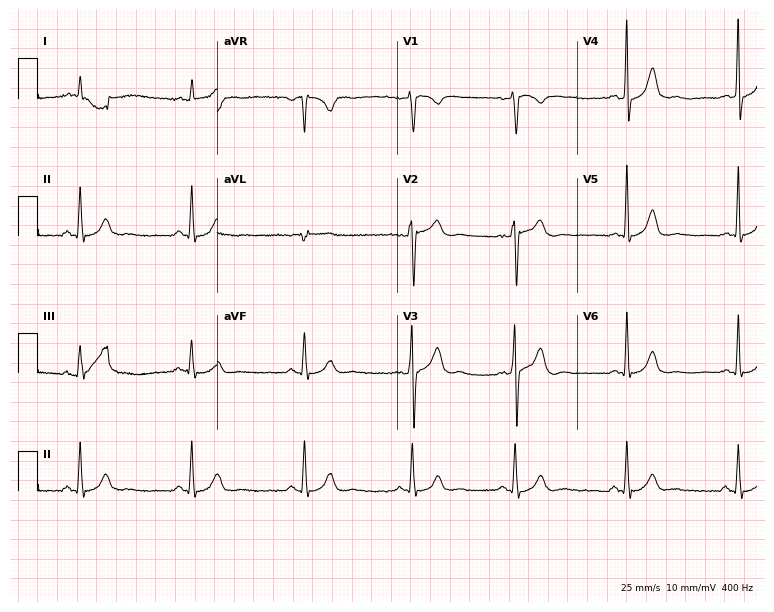
Resting 12-lead electrocardiogram (7.3-second recording at 400 Hz). Patient: a male, 44 years old. None of these six findings is recorded: first-degree AV block, right bundle branch block, left bundle branch block, sinus bradycardia, atrial fibrillation, sinus tachycardia.